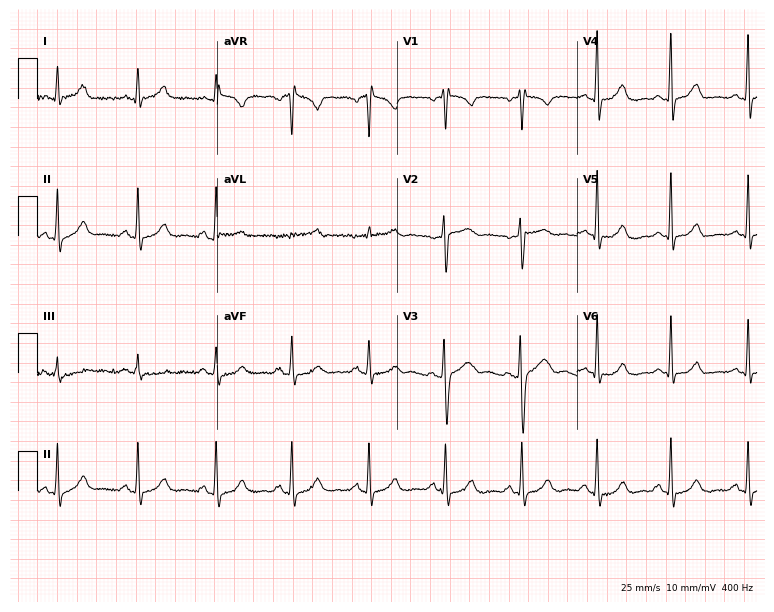
12-lead ECG from a 25-year-old woman. Screened for six findings — first-degree AV block, right bundle branch block, left bundle branch block, sinus bradycardia, atrial fibrillation, sinus tachycardia — none is recorded. Only these six findings were labelled.